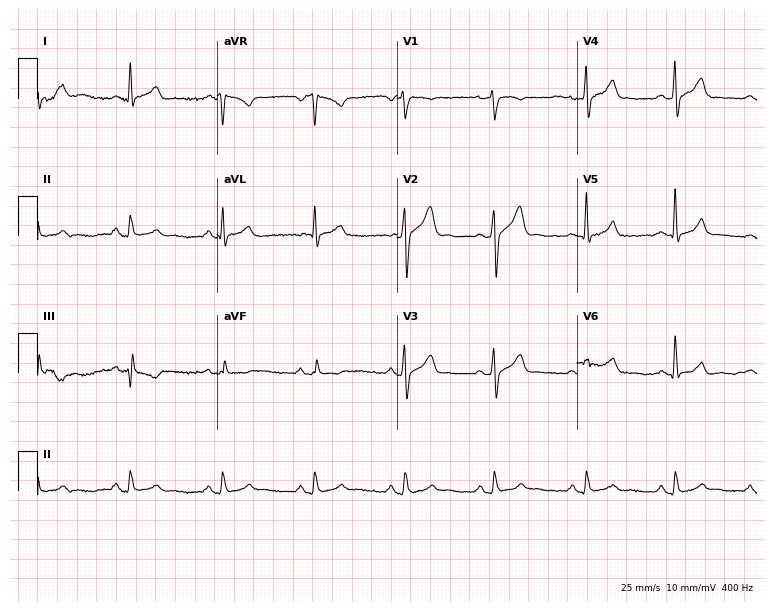
ECG — a 58-year-old man. Labelled as a normal ECG.